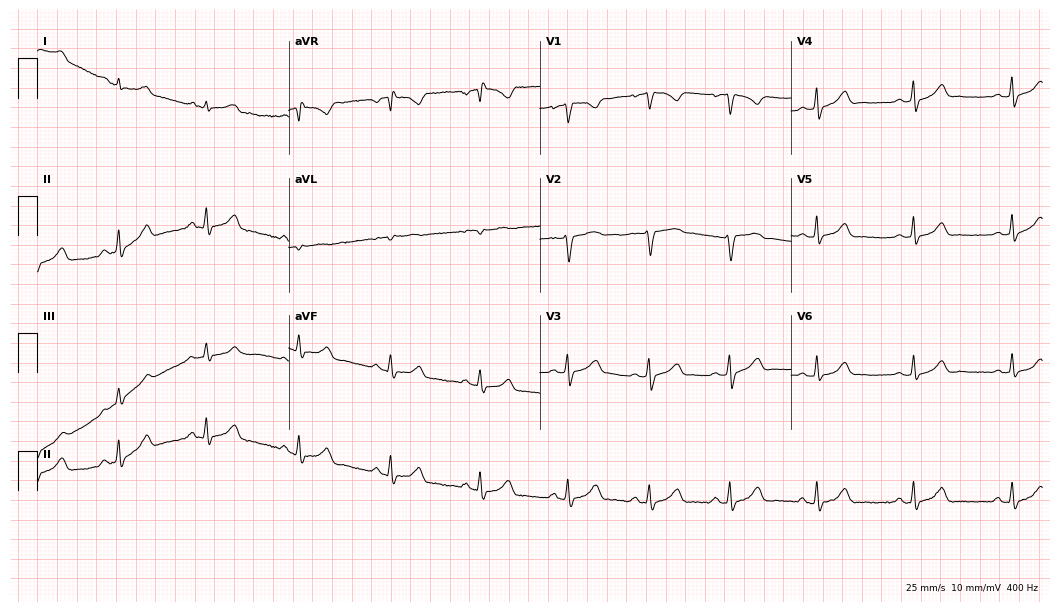
Electrocardiogram, a 27-year-old female. Overall reading on record: normal ECG.